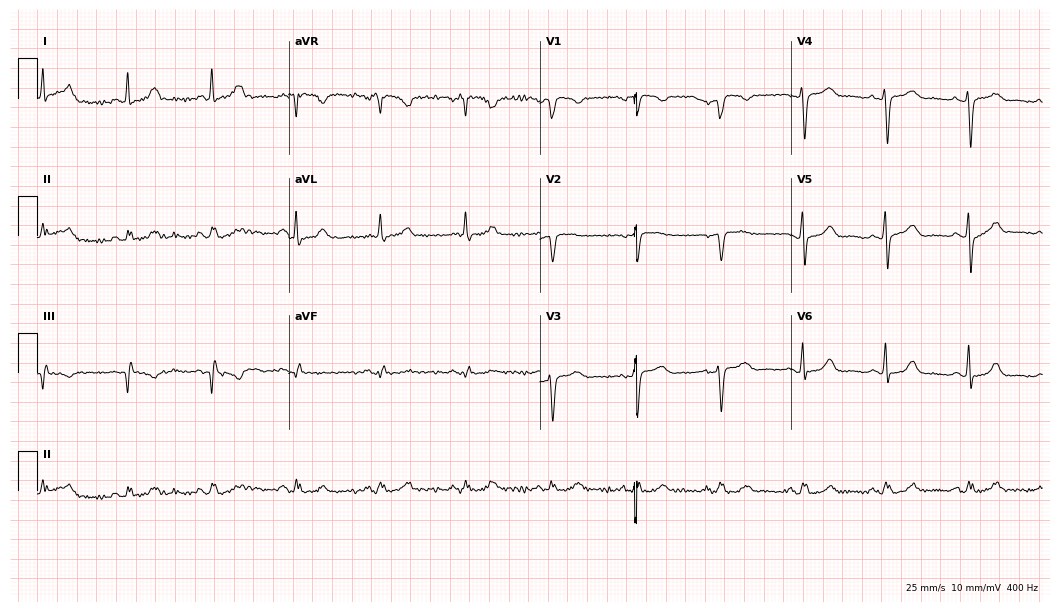
Electrocardiogram (10.2-second recording at 400 Hz), a 72-year-old female patient. Of the six screened findings (first-degree AV block, right bundle branch block (RBBB), left bundle branch block (LBBB), sinus bradycardia, atrial fibrillation (AF), sinus tachycardia), none is recorded. Only these six findings were labelled.